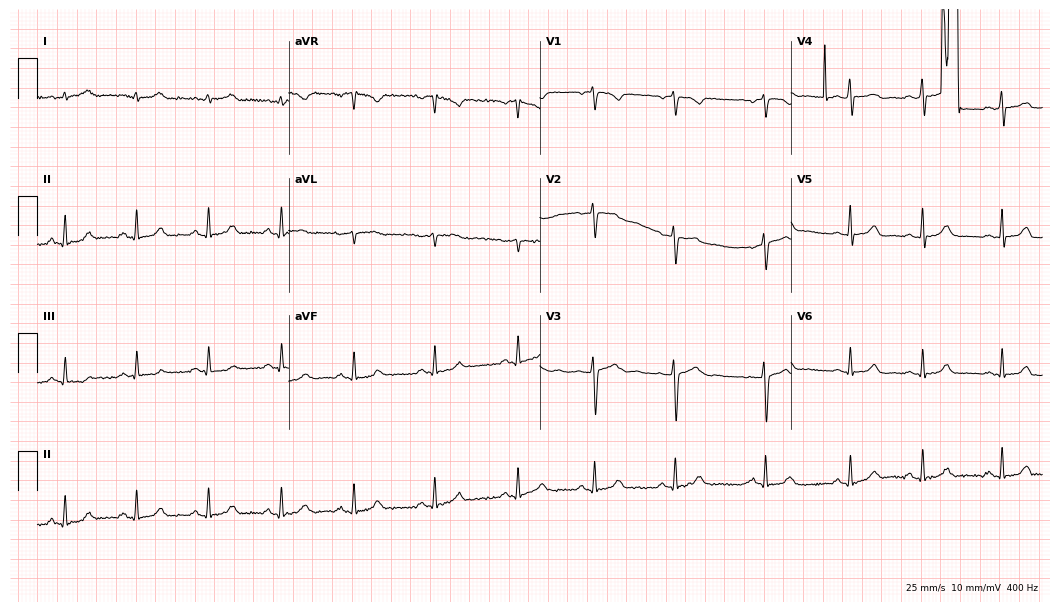
Standard 12-lead ECG recorded from a 34-year-old woman (10.2-second recording at 400 Hz). Read as a normal ECG.